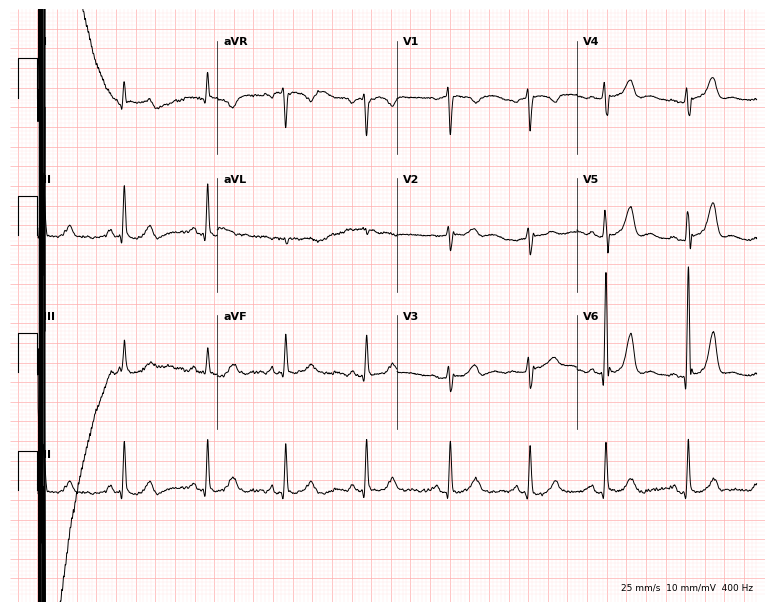
ECG — a 63-year-old female. Screened for six findings — first-degree AV block, right bundle branch block, left bundle branch block, sinus bradycardia, atrial fibrillation, sinus tachycardia — none is recorded. Findings outside these six are not listed.